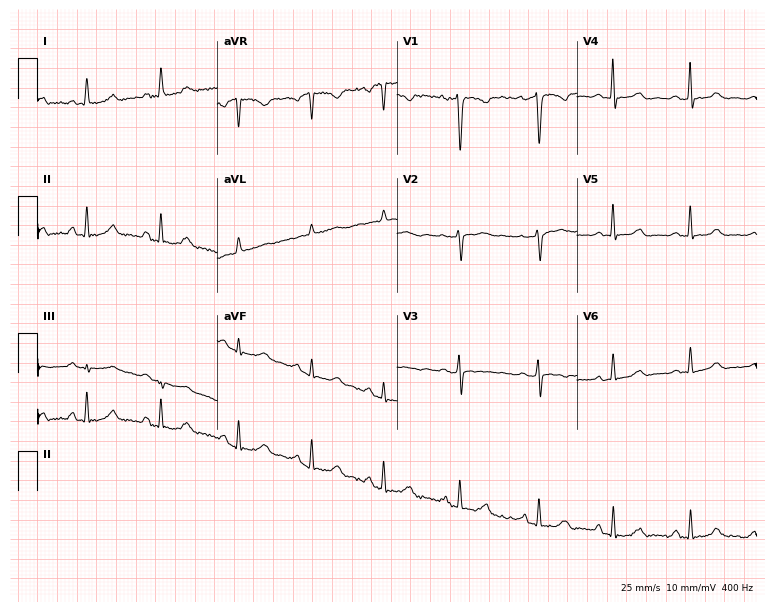
Electrocardiogram, a 54-year-old female patient. Of the six screened findings (first-degree AV block, right bundle branch block (RBBB), left bundle branch block (LBBB), sinus bradycardia, atrial fibrillation (AF), sinus tachycardia), none is recorded.